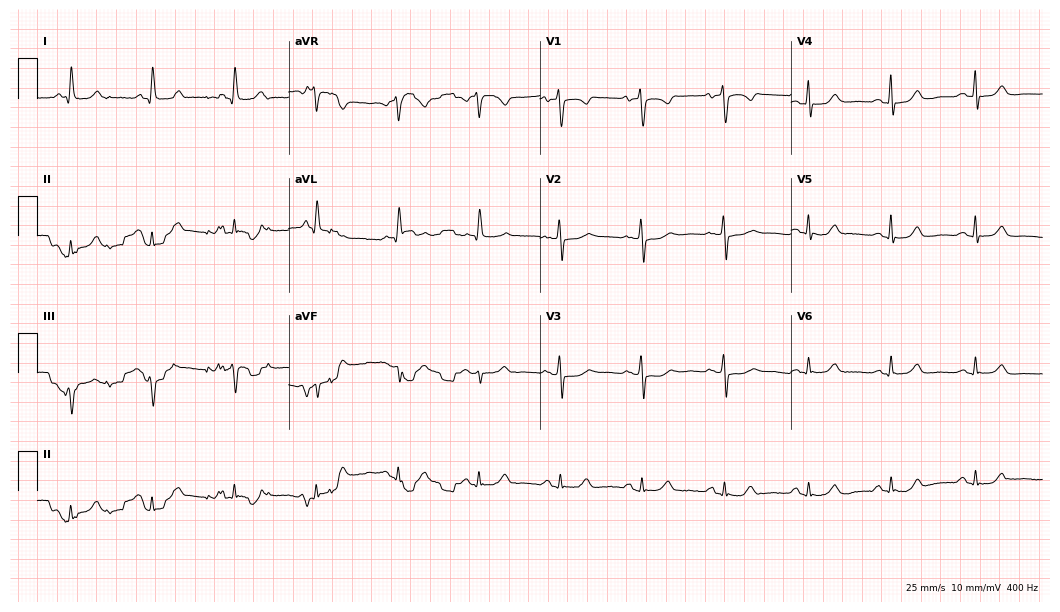
12-lead ECG from a 77-year-old woman. Labelled as a normal ECG.